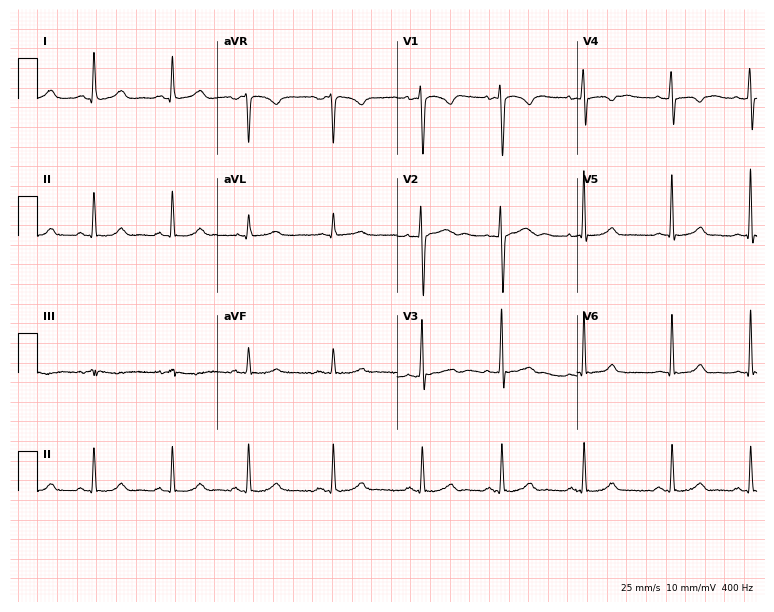
ECG — a 26-year-old woman. Labelled as a normal ECG.